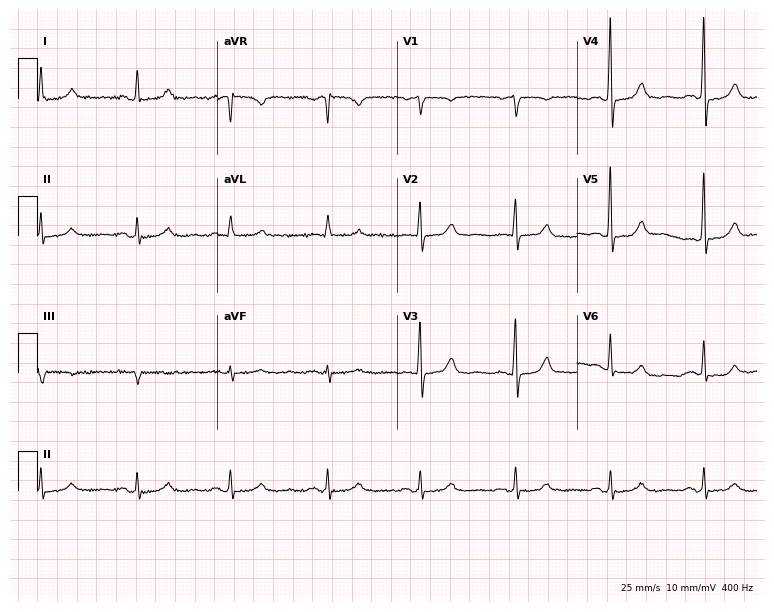
Resting 12-lead electrocardiogram (7.3-second recording at 400 Hz). Patient: a 66-year-old woman. None of these six findings is recorded: first-degree AV block, right bundle branch block, left bundle branch block, sinus bradycardia, atrial fibrillation, sinus tachycardia. Findings outside these six are not listed.